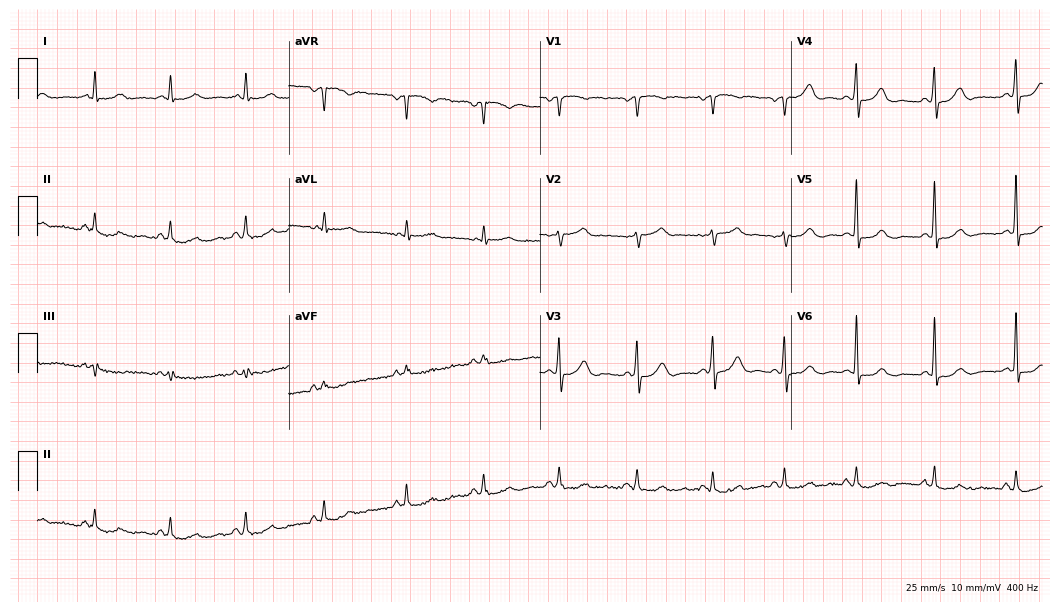
ECG (10.2-second recording at 400 Hz) — a female patient, 52 years old. Labelled as a normal ECG.